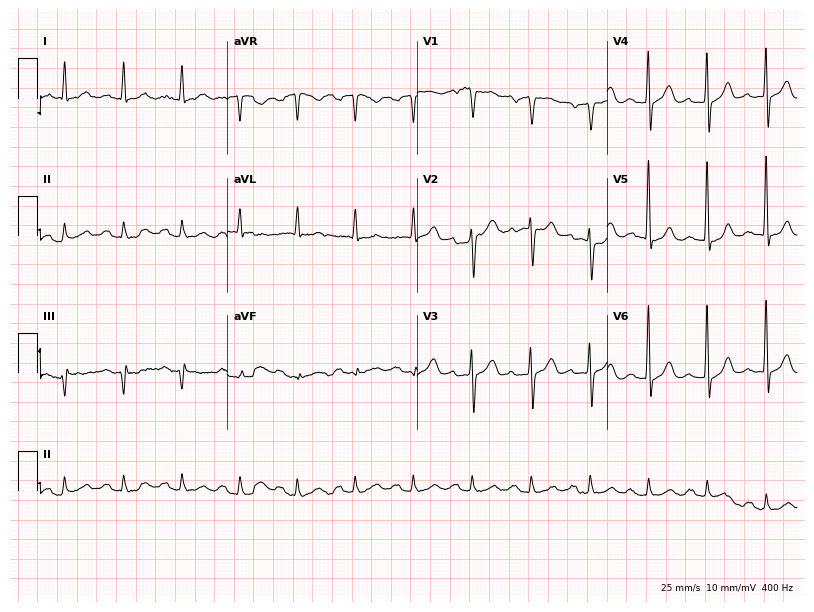
Resting 12-lead electrocardiogram. Patient: a male, 72 years old. None of these six findings is recorded: first-degree AV block, right bundle branch block, left bundle branch block, sinus bradycardia, atrial fibrillation, sinus tachycardia. Findings outside these six are not listed.